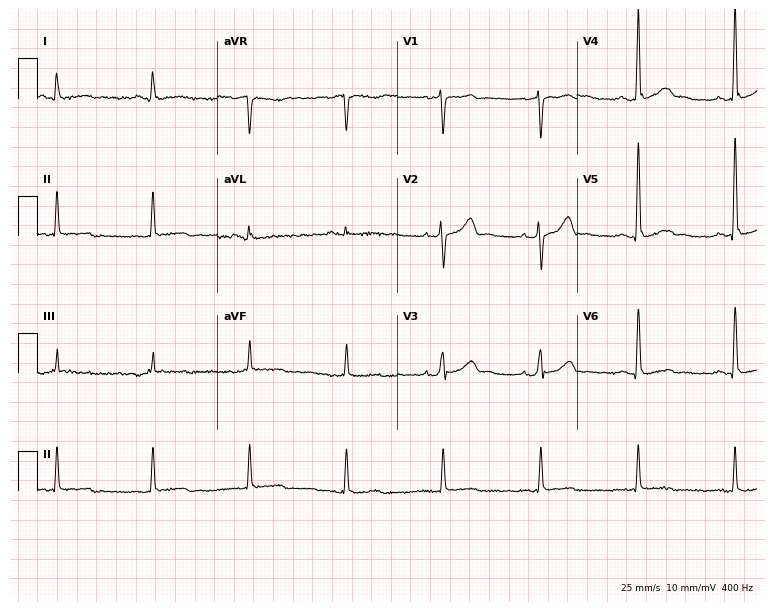
ECG — a man, 51 years old. Screened for six findings — first-degree AV block, right bundle branch block (RBBB), left bundle branch block (LBBB), sinus bradycardia, atrial fibrillation (AF), sinus tachycardia — none is recorded.